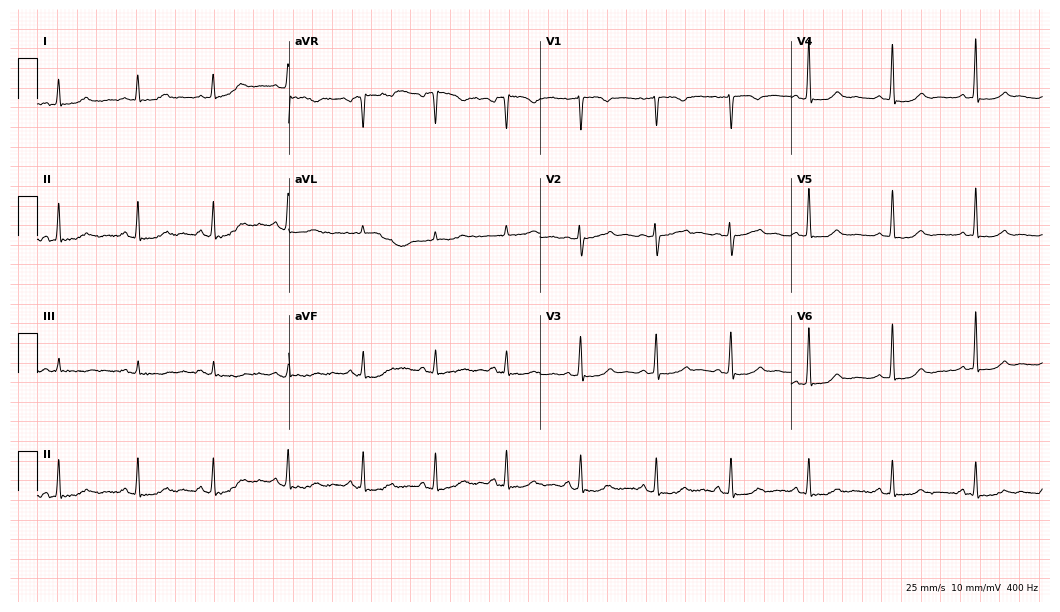
Electrocardiogram (10.2-second recording at 400 Hz), a female, 56 years old. Of the six screened findings (first-degree AV block, right bundle branch block, left bundle branch block, sinus bradycardia, atrial fibrillation, sinus tachycardia), none is recorded. Other findings, if any, are not listed.